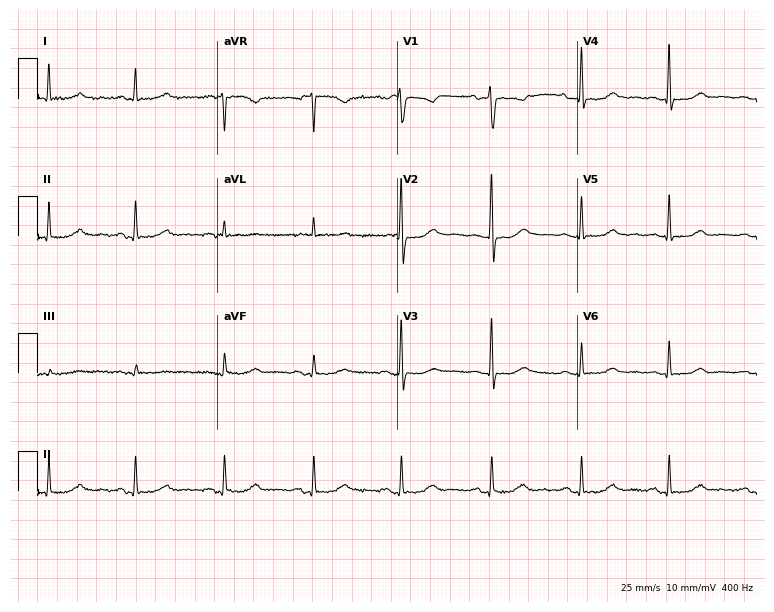
Electrocardiogram, a female, 54 years old. Of the six screened findings (first-degree AV block, right bundle branch block, left bundle branch block, sinus bradycardia, atrial fibrillation, sinus tachycardia), none is recorded. Other findings, if any, are not listed.